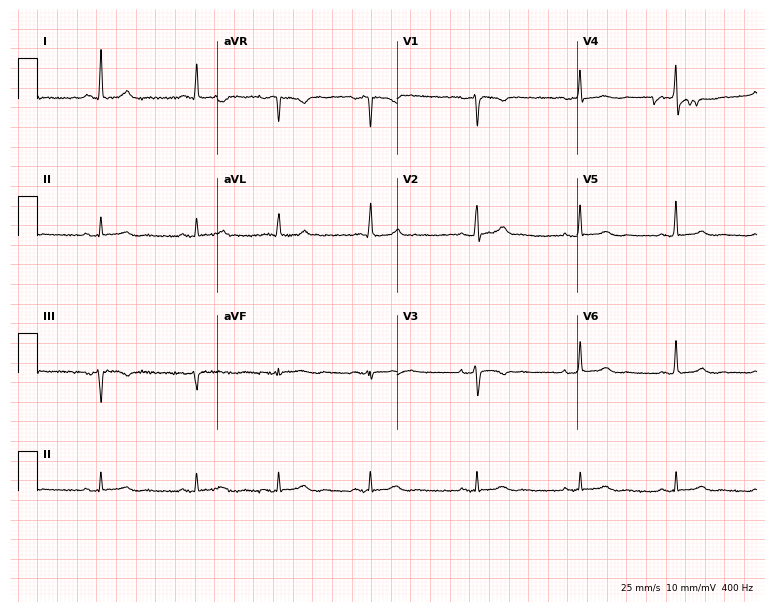
ECG (7.3-second recording at 400 Hz) — a female, 64 years old. Screened for six findings — first-degree AV block, right bundle branch block (RBBB), left bundle branch block (LBBB), sinus bradycardia, atrial fibrillation (AF), sinus tachycardia — none is recorded.